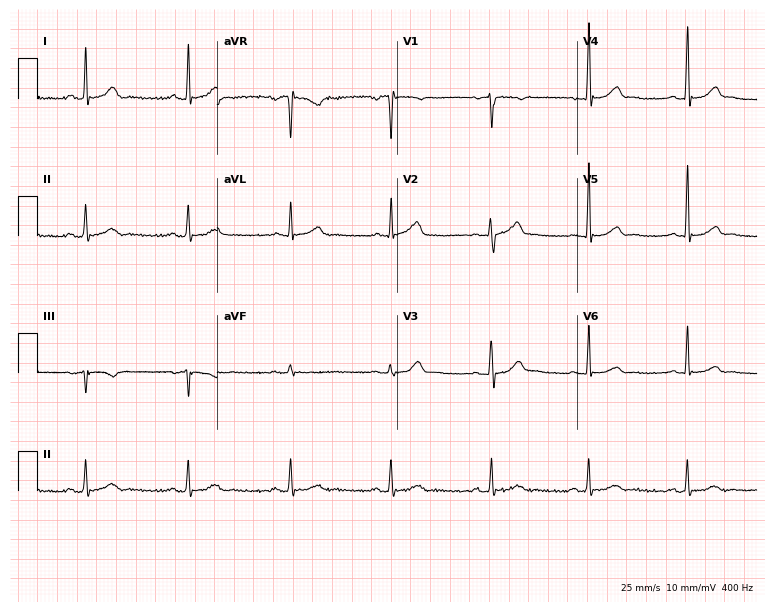
Electrocardiogram (7.3-second recording at 400 Hz), a 57-year-old man. Overall reading on record: normal ECG.